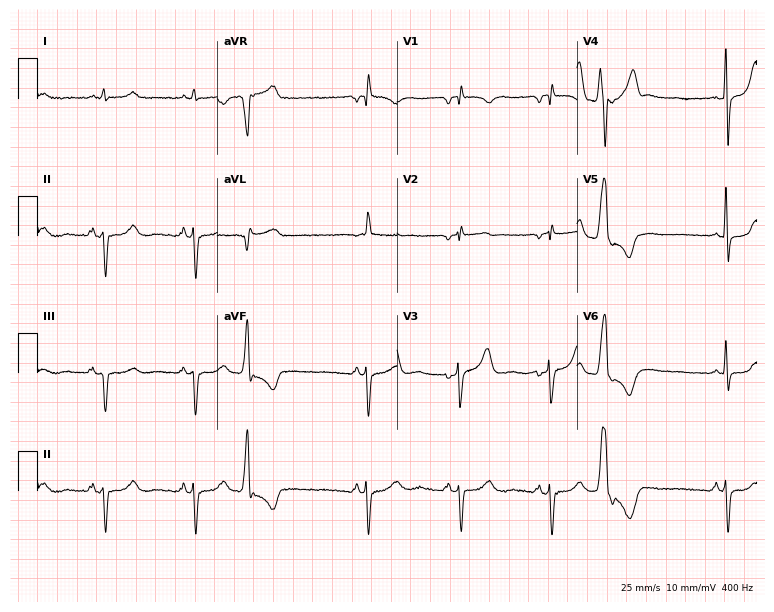
12-lead ECG (7.3-second recording at 400 Hz) from a man, 75 years old. Screened for six findings — first-degree AV block, right bundle branch block, left bundle branch block, sinus bradycardia, atrial fibrillation, sinus tachycardia — none is recorded. Findings outside these six are not listed.